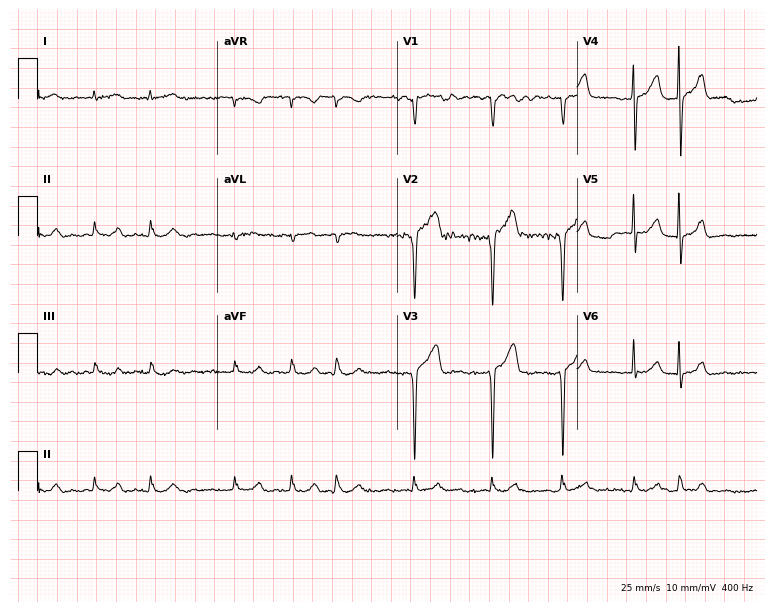
12-lead ECG from an 85-year-old man (7.3-second recording at 400 Hz). Shows atrial fibrillation.